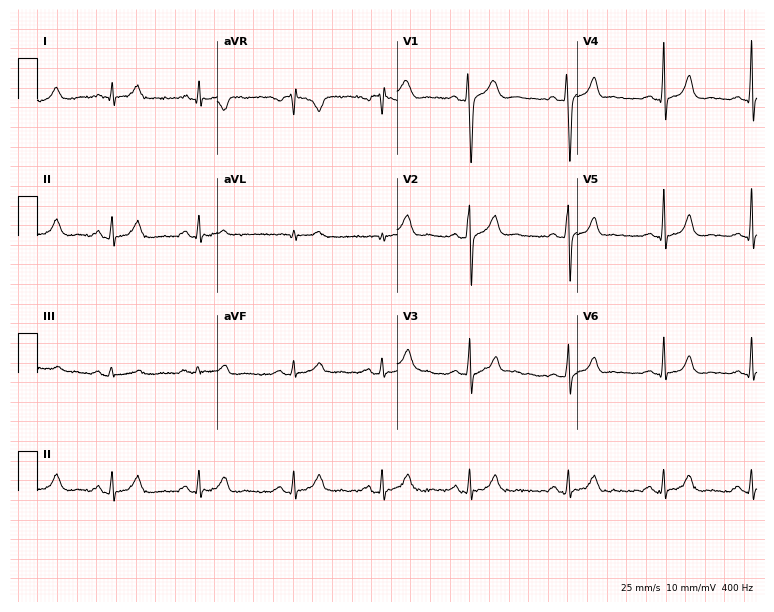
12-lead ECG from a male, 21 years old. Recorded interpretation: within normal limits.